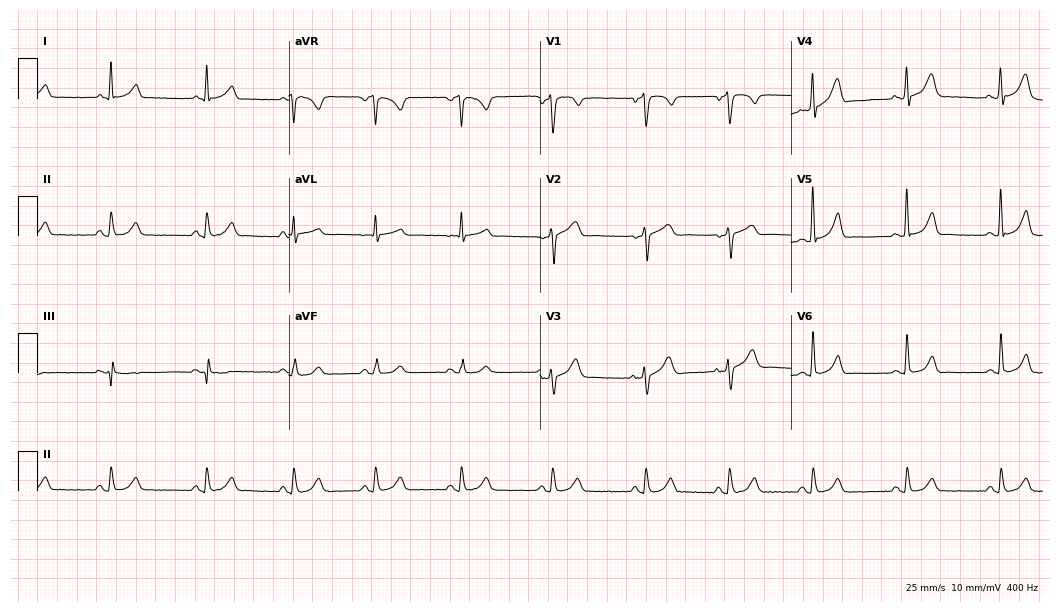
12-lead ECG from a male patient, 30 years old (10.2-second recording at 400 Hz). Recorded interpretation: within normal limits.